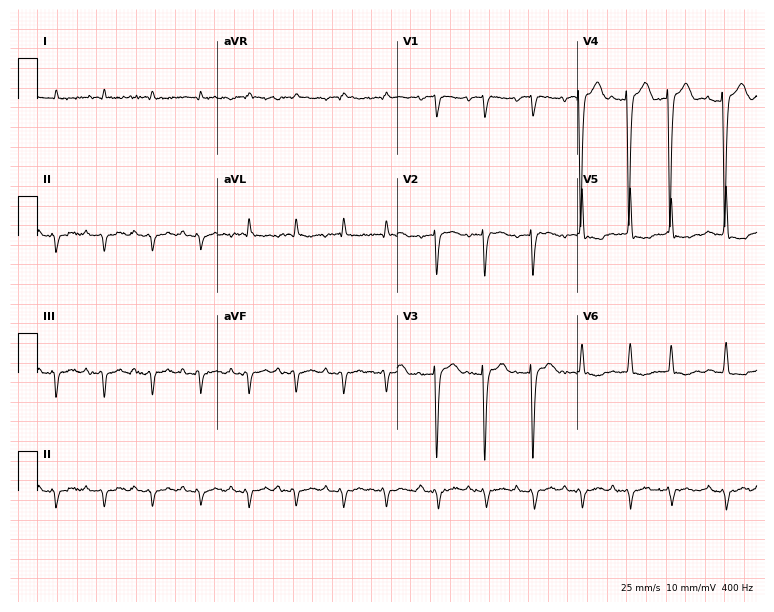
12-lead ECG from a 78-year-old woman. Shows sinus tachycardia (a sinus rate of 100 beats per minute or more).